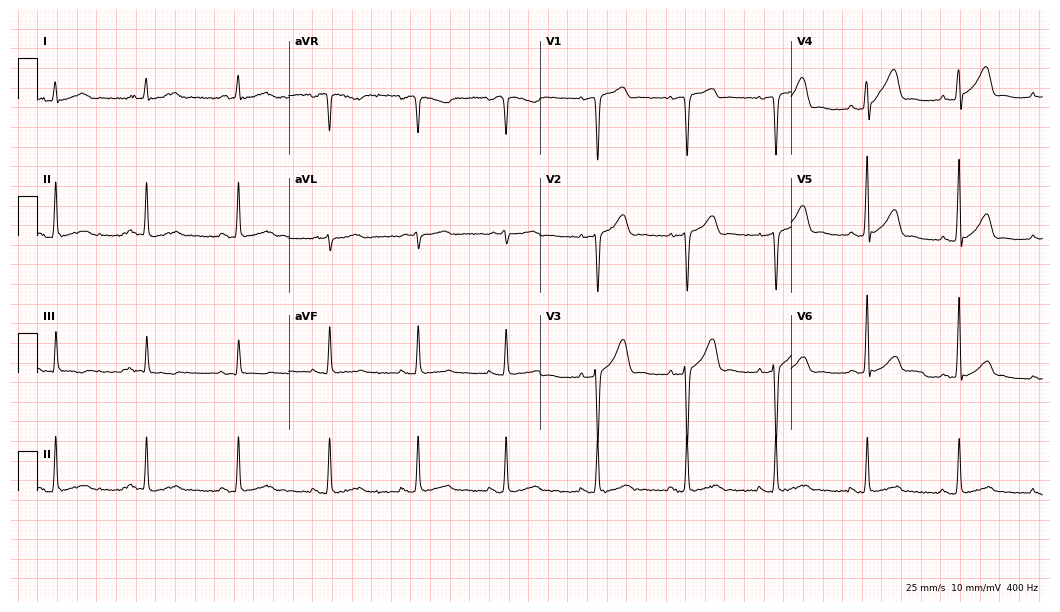
Resting 12-lead electrocardiogram. Patient: a male, 76 years old. Read as a normal ECG.